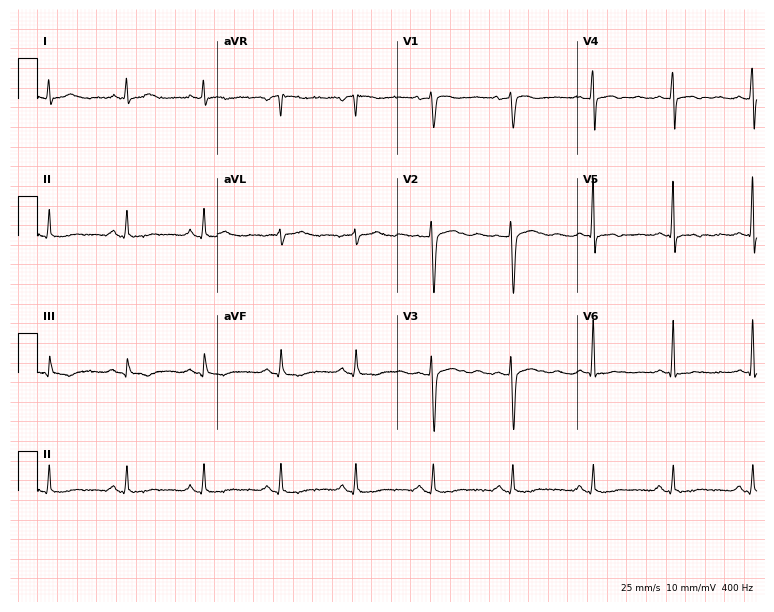
12-lead ECG (7.3-second recording at 400 Hz) from a female patient, 45 years old. Screened for six findings — first-degree AV block, right bundle branch block, left bundle branch block, sinus bradycardia, atrial fibrillation, sinus tachycardia — none is recorded.